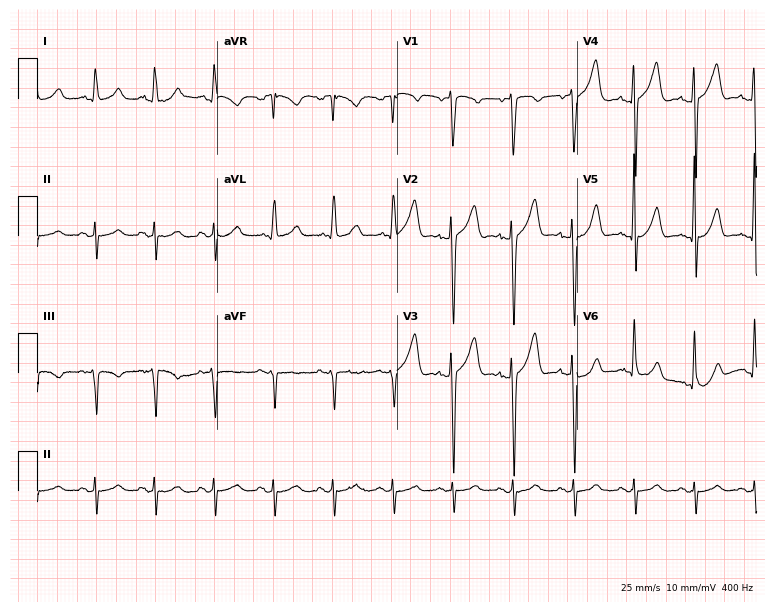
Resting 12-lead electrocardiogram (7.3-second recording at 400 Hz). Patient: a man, 59 years old. None of these six findings is recorded: first-degree AV block, right bundle branch block, left bundle branch block, sinus bradycardia, atrial fibrillation, sinus tachycardia. Findings outside these six are not listed.